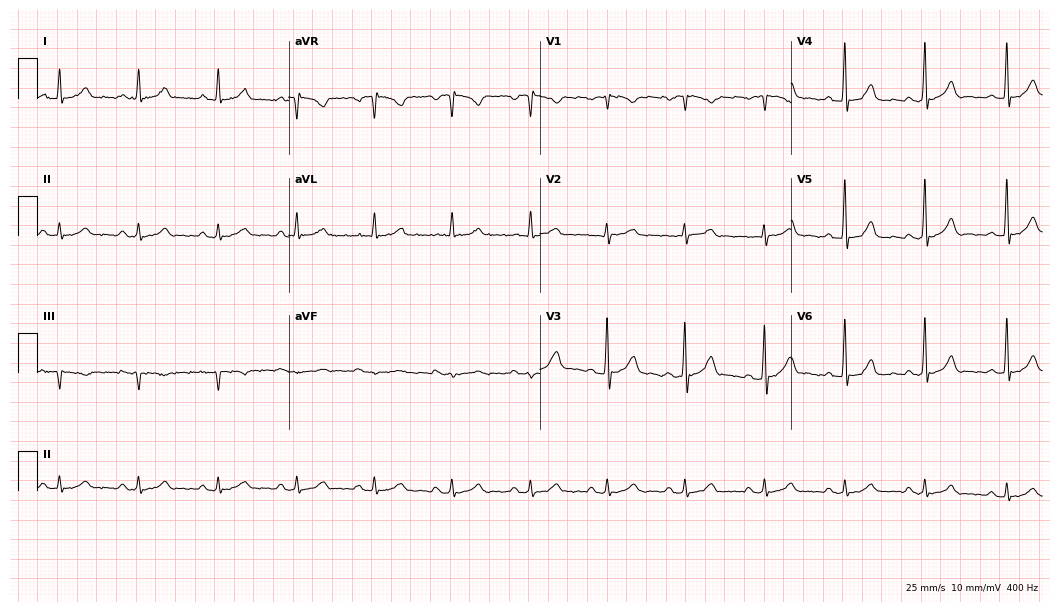
ECG (10.2-second recording at 400 Hz) — a 61-year-old male patient. Labelled as a normal ECG.